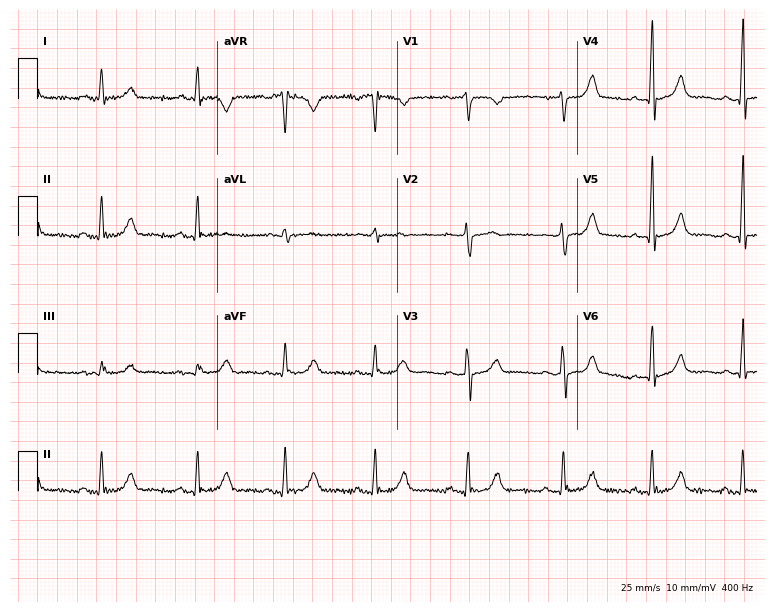
12-lead ECG from a 64-year-old female. No first-degree AV block, right bundle branch block, left bundle branch block, sinus bradycardia, atrial fibrillation or sinus tachycardia recorded for this tracing.